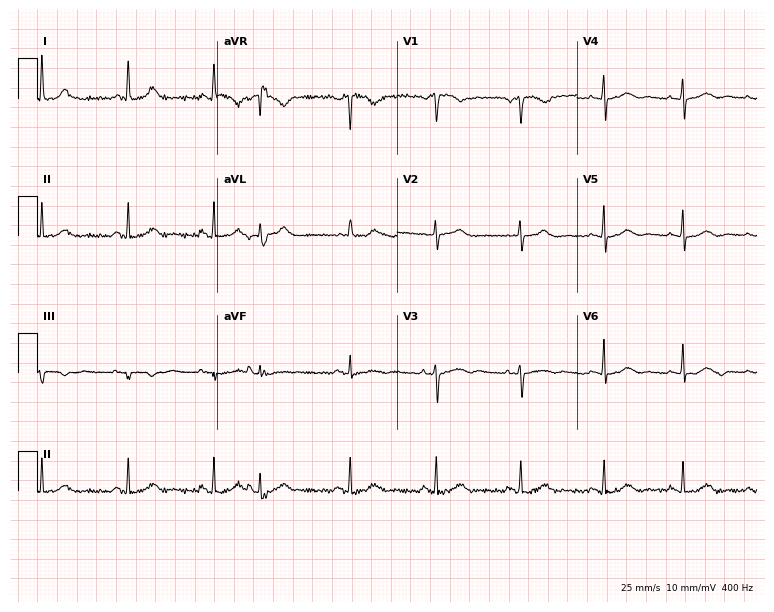
12-lead ECG from a woman, 63 years old (7.3-second recording at 400 Hz). No first-degree AV block, right bundle branch block, left bundle branch block, sinus bradycardia, atrial fibrillation or sinus tachycardia recorded for this tracing.